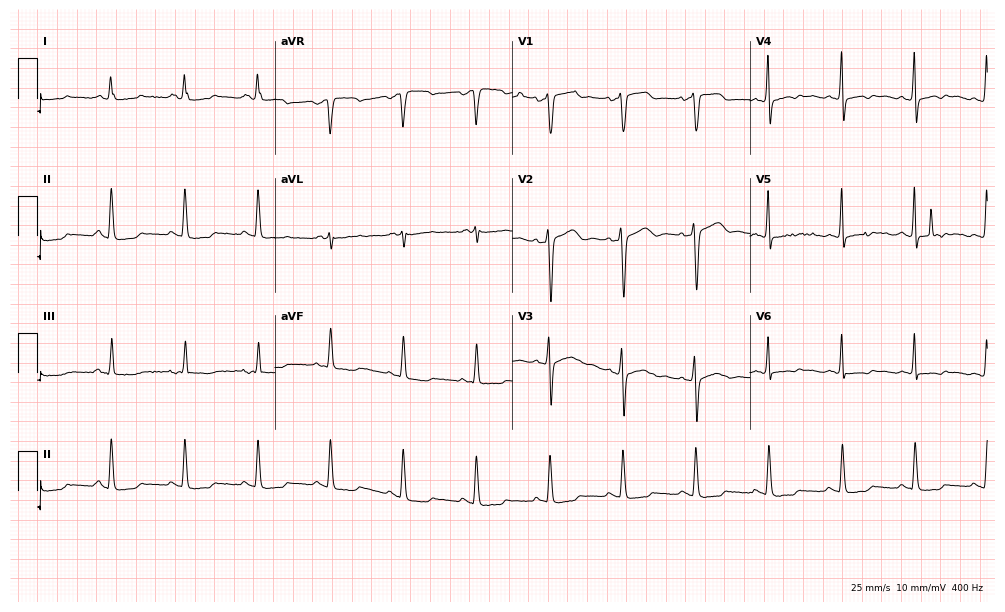
ECG — a 54-year-old female. Screened for six findings — first-degree AV block, right bundle branch block, left bundle branch block, sinus bradycardia, atrial fibrillation, sinus tachycardia — none is recorded. Findings outside these six are not listed.